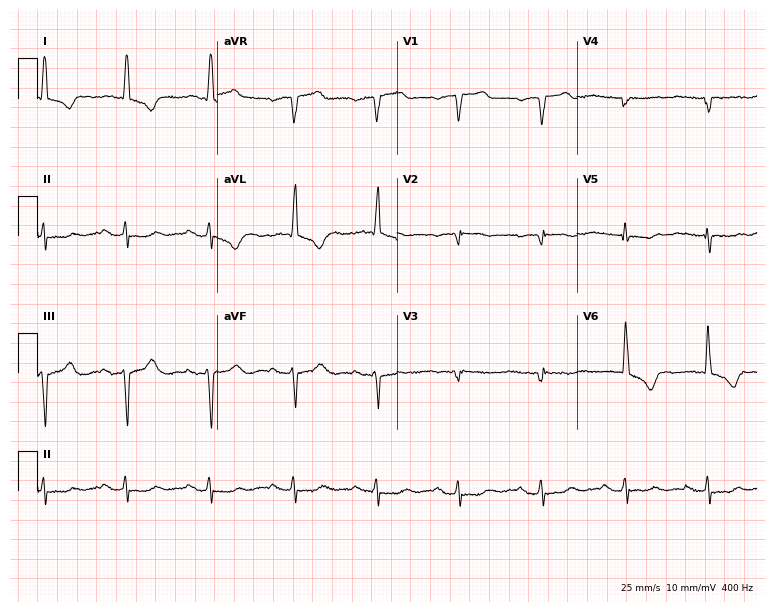
ECG (7.3-second recording at 400 Hz) — a 74-year-old woman. Screened for six findings — first-degree AV block, right bundle branch block (RBBB), left bundle branch block (LBBB), sinus bradycardia, atrial fibrillation (AF), sinus tachycardia — none is recorded. Findings outside these six are not listed.